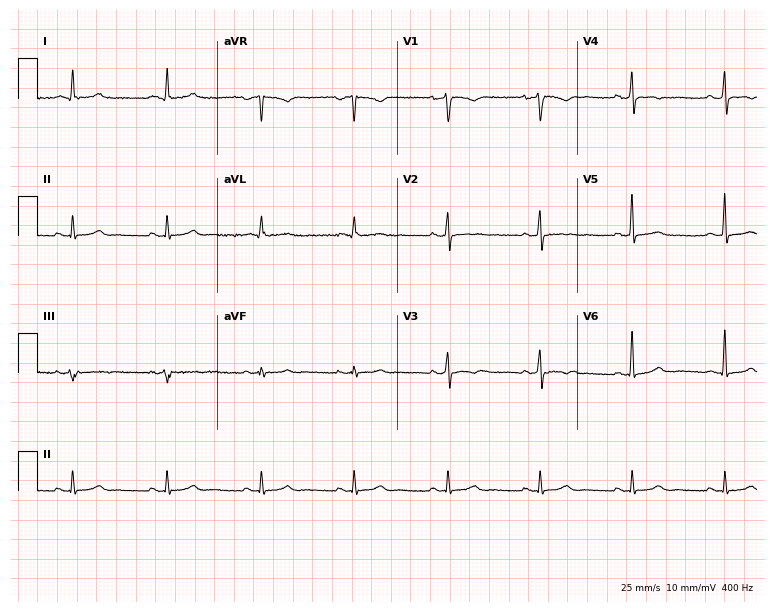
Resting 12-lead electrocardiogram. Patient: a woman, 43 years old. Read as a normal ECG.